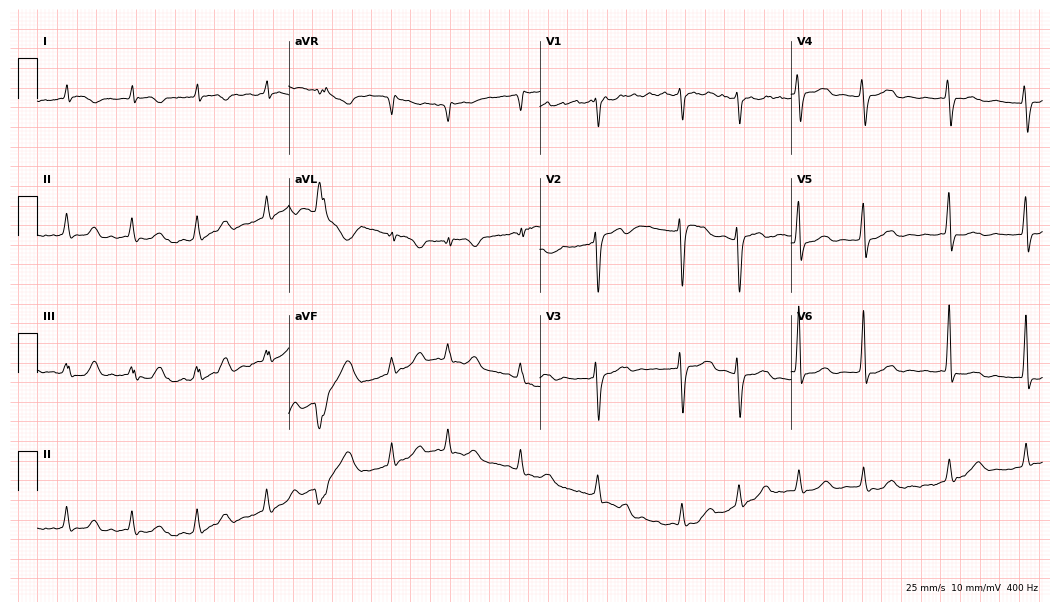
Standard 12-lead ECG recorded from a 71-year-old woman. None of these six findings is recorded: first-degree AV block, right bundle branch block (RBBB), left bundle branch block (LBBB), sinus bradycardia, atrial fibrillation (AF), sinus tachycardia.